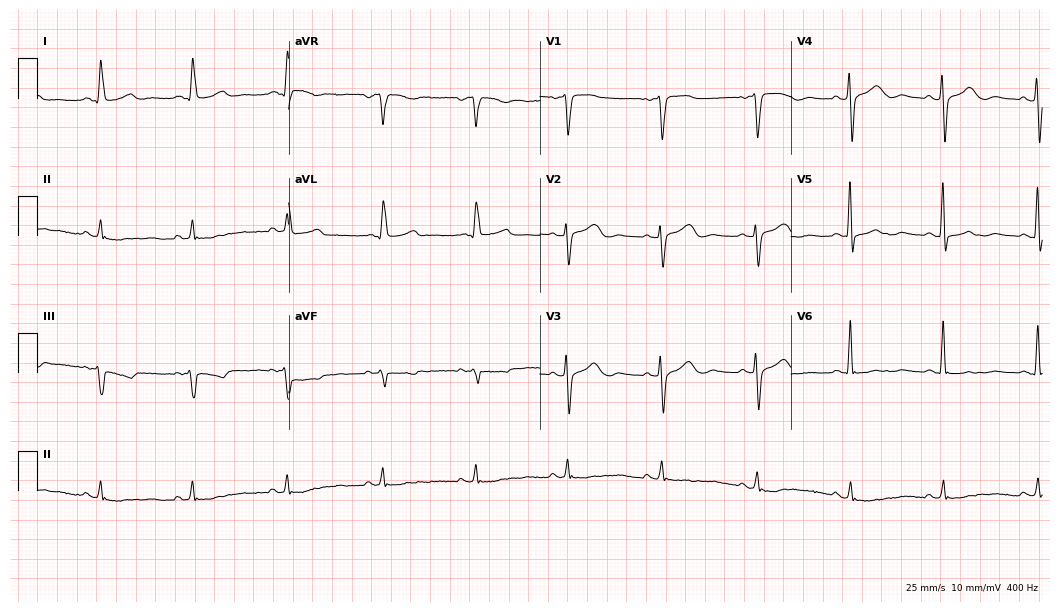
ECG (10.2-second recording at 400 Hz) — a female patient, 76 years old. Labelled as a normal ECG.